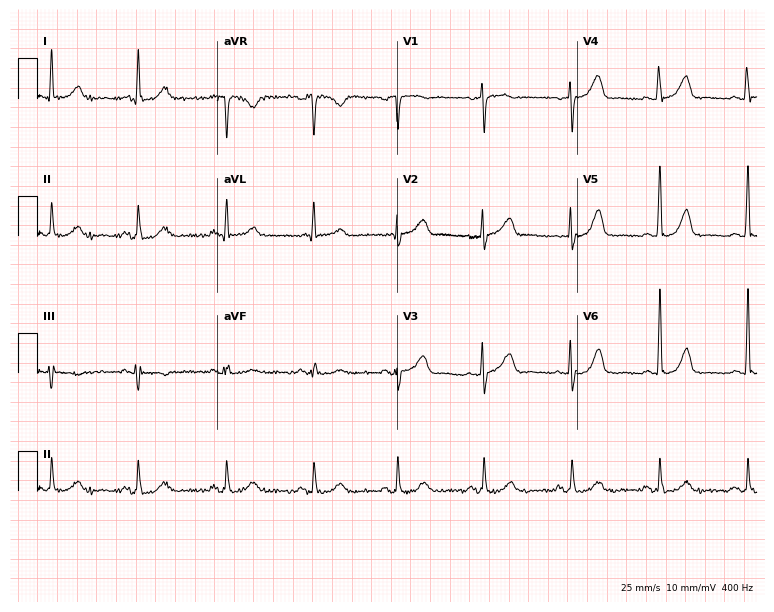
12-lead ECG from a 71-year-old female patient. Labelled as a normal ECG.